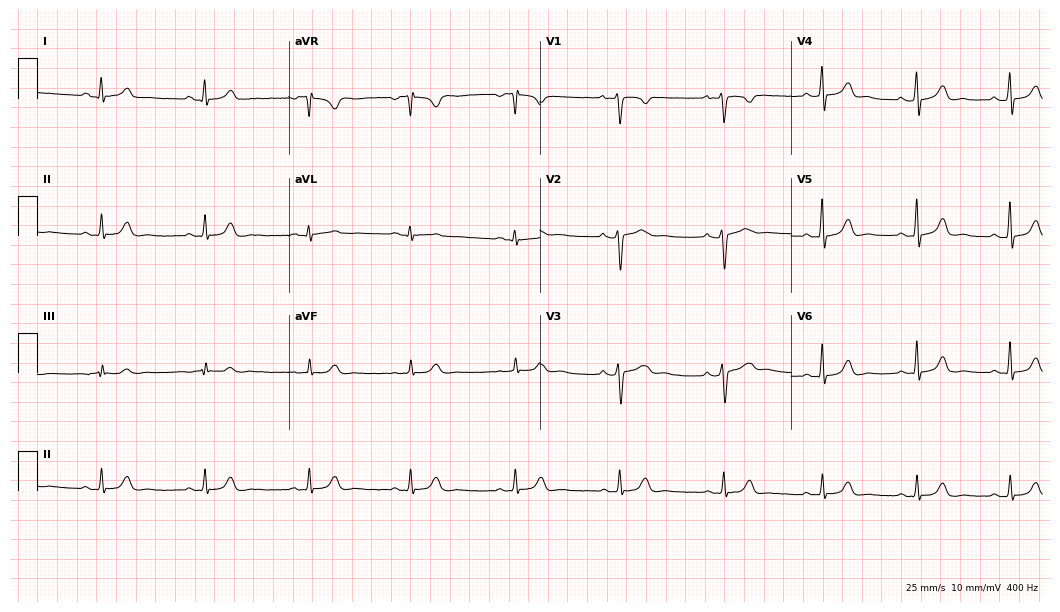
Electrocardiogram, a 39-year-old female. Overall reading on record: normal ECG.